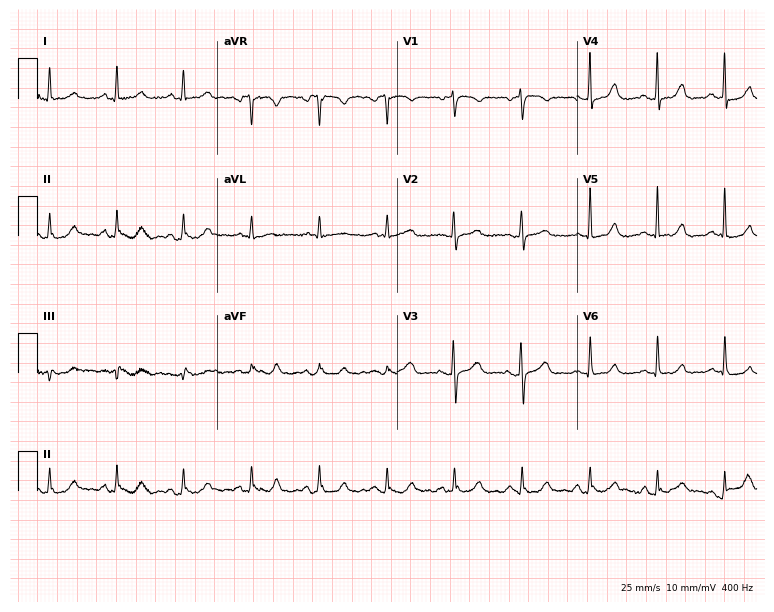
Resting 12-lead electrocardiogram. Patient: a female, 74 years old. Read as a normal ECG.